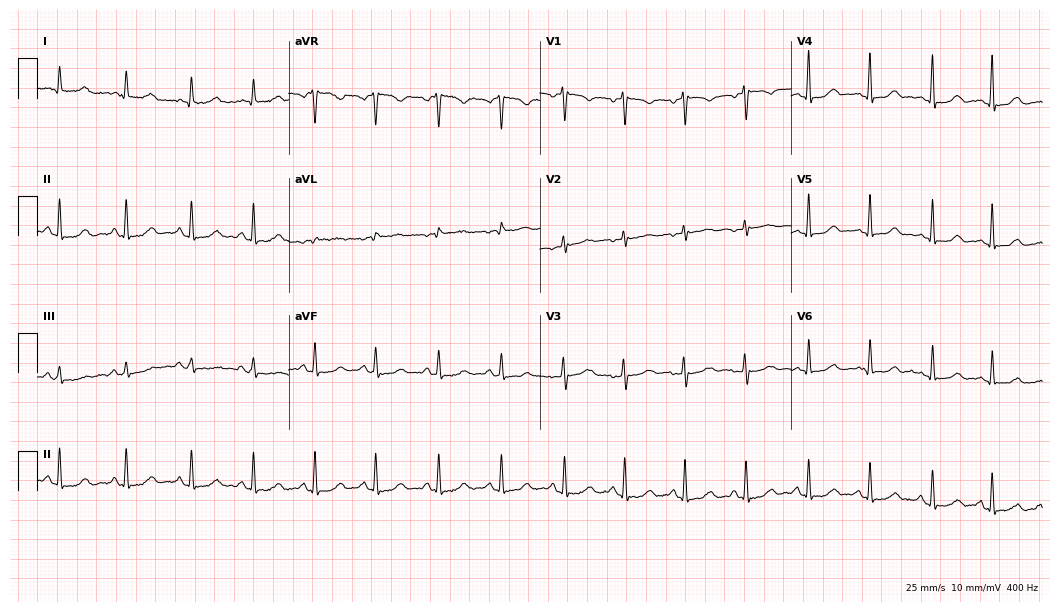
Electrocardiogram, a woman, 36 years old. Overall reading on record: normal ECG.